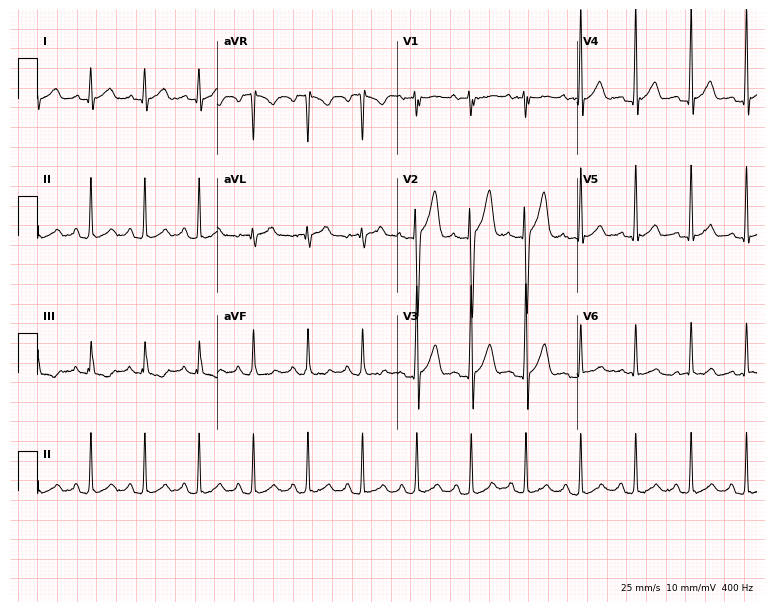
Electrocardiogram, a man, 20 years old. Interpretation includes sinus tachycardia (a sinus rate of 100 beats per minute or more).